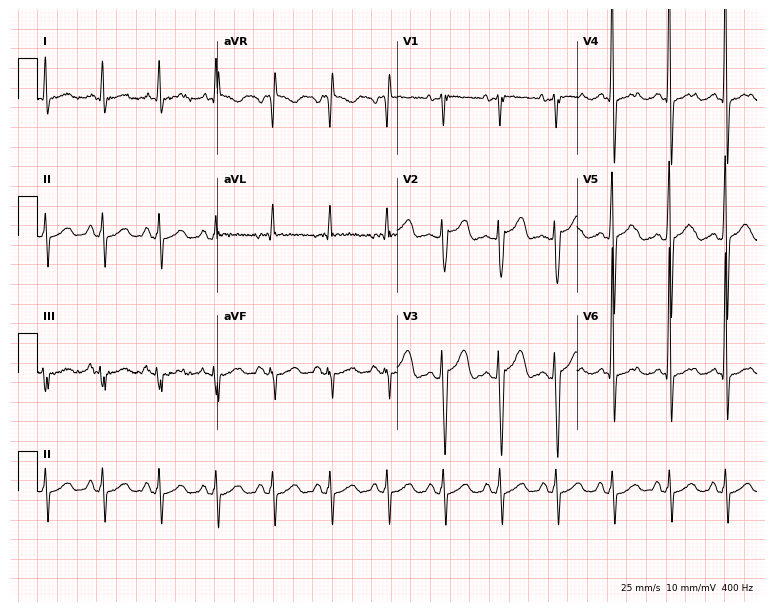
ECG (7.3-second recording at 400 Hz) — a 26-year-old female patient. Findings include sinus tachycardia (a sinus rate of 100 beats per minute or more).